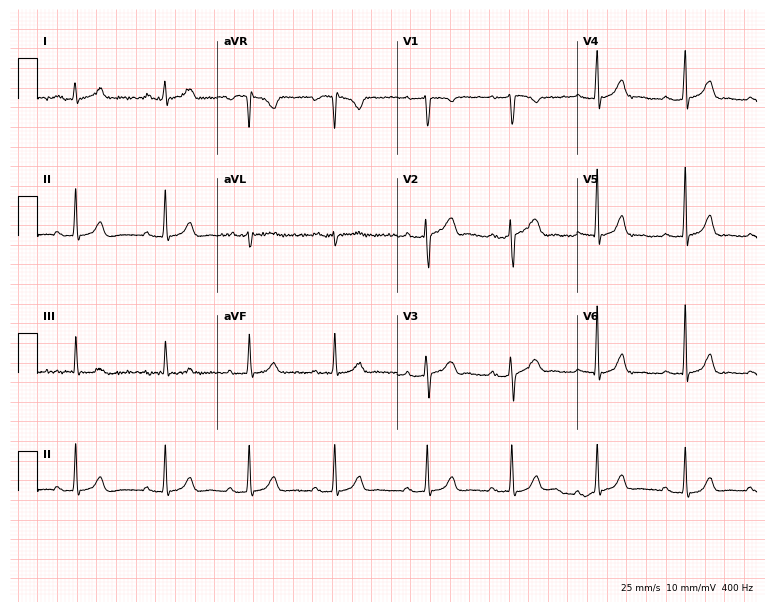
ECG (7.3-second recording at 400 Hz) — a 28-year-old female. Labelled as a normal ECG.